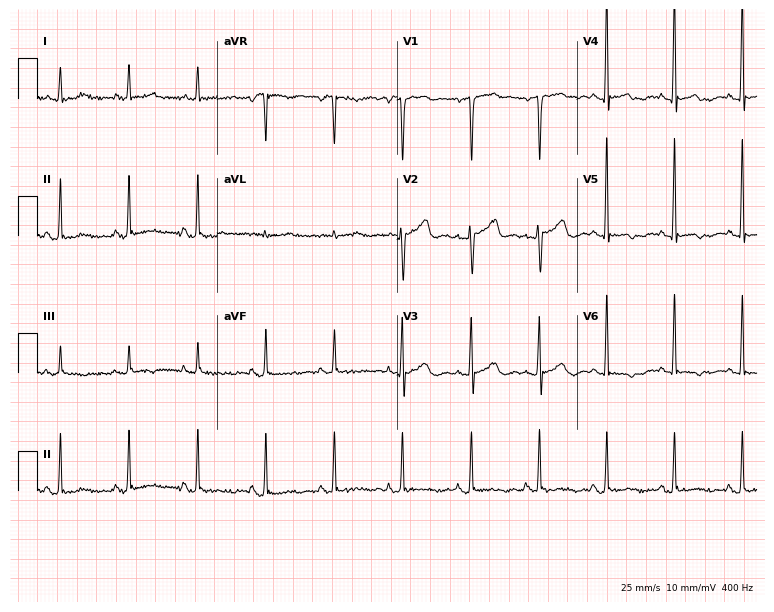
12-lead ECG from a female, 73 years old. Screened for six findings — first-degree AV block, right bundle branch block, left bundle branch block, sinus bradycardia, atrial fibrillation, sinus tachycardia — none is recorded. Only these six findings were labelled.